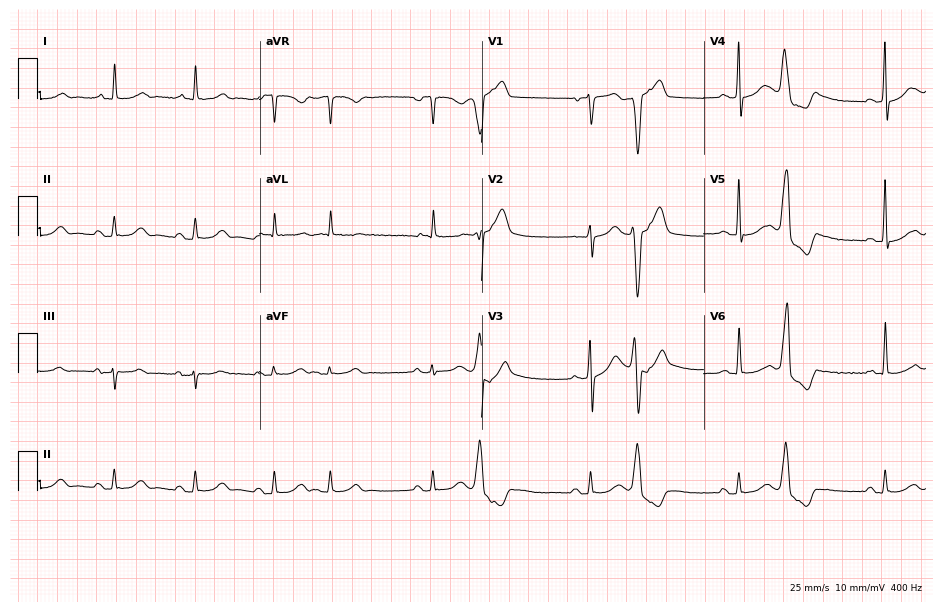
Electrocardiogram (9.1-second recording at 400 Hz), an 80-year-old male. Of the six screened findings (first-degree AV block, right bundle branch block, left bundle branch block, sinus bradycardia, atrial fibrillation, sinus tachycardia), none is recorded. Findings outside these six are not listed.